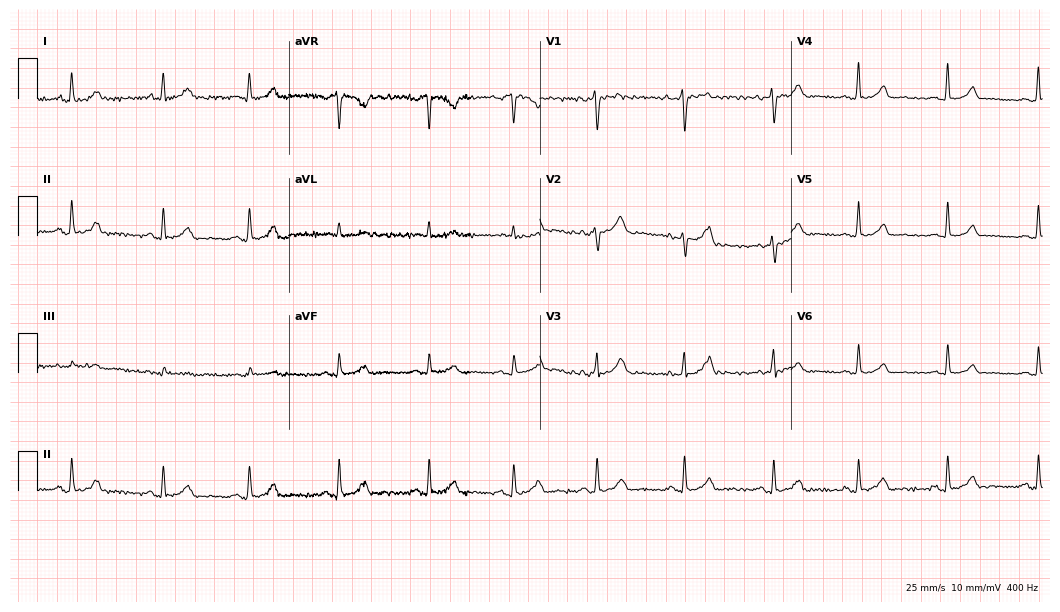
Standard 12-lead ECG recorded from a 30-year-old female. None of these six findings is recorded: first-degree AV block, right bundle branch block, left bundle branch block, sinus bradycardia, atrial fibrillation, sinus tachycardia. Only these six findings were labelled.